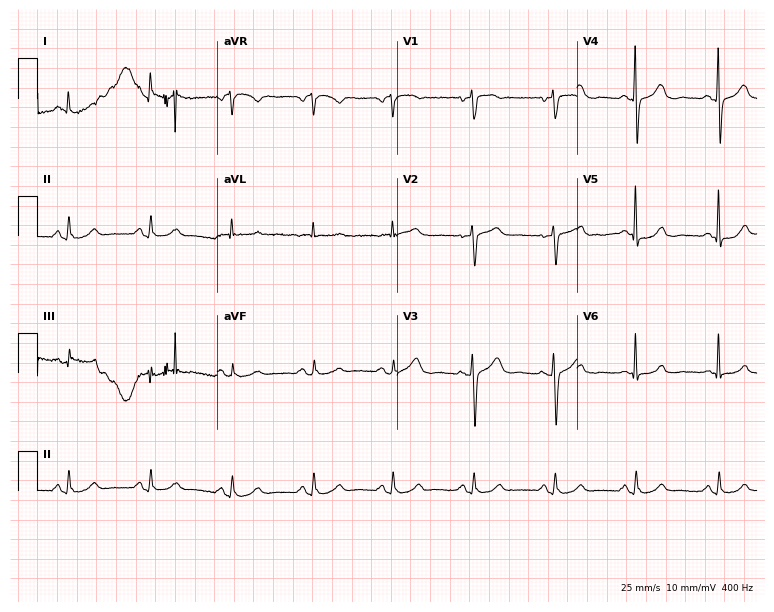
Standard 12-lead ECG recorded from a 72-year-old female patient. Read as a normal ECG.